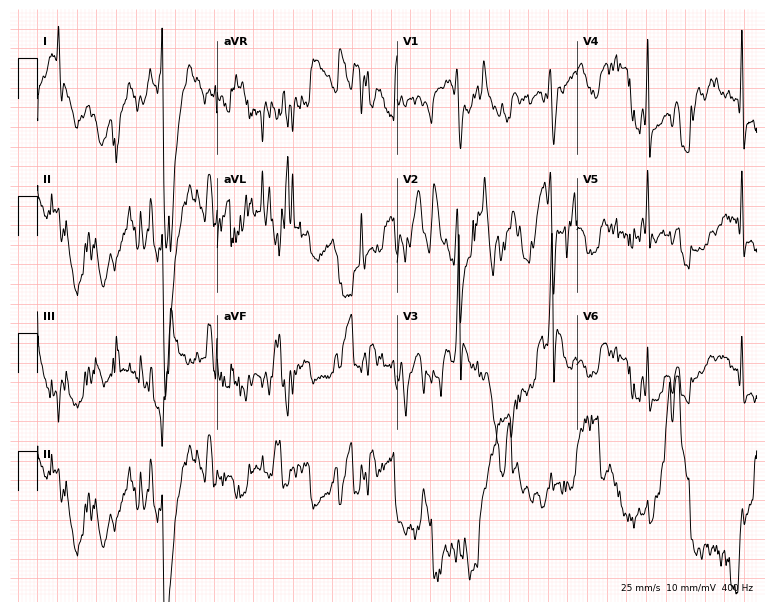
ECG — a man, 25 years old. Screened for six findings — first-degree AV block, right bundle branch block (RBBB), left bundle branch block (LBBB), sinus bradycardia, atrial fibrillation (AF), sinus tachycardia — none is recorded. Findings outside these six are not listed.